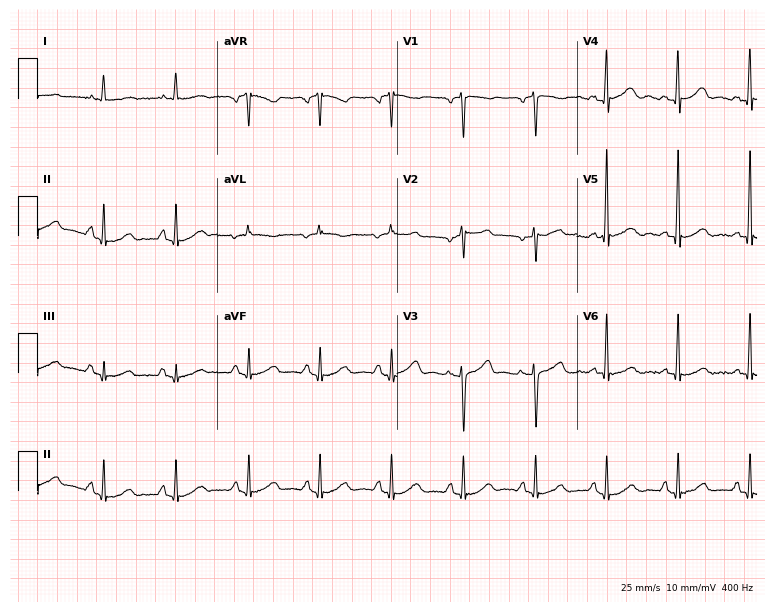
Resting 12-lead electrocardiogram (7.3-second recording at 400 Hz). Patient: a 68-year-old female. Read as a normal ECG.